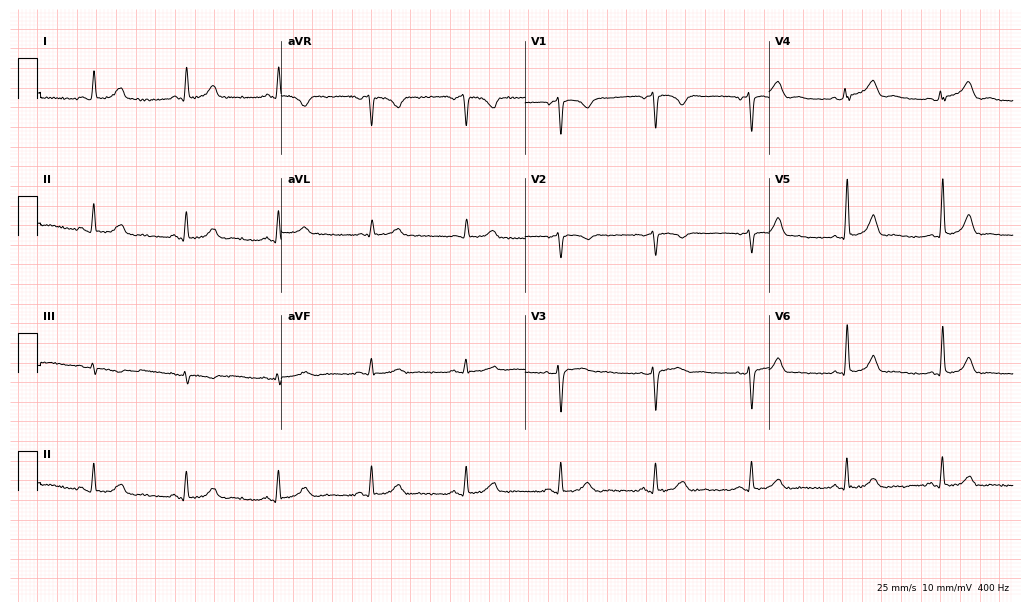
ECG — a male patient, 56 years old. Labelled as a normal ECG.